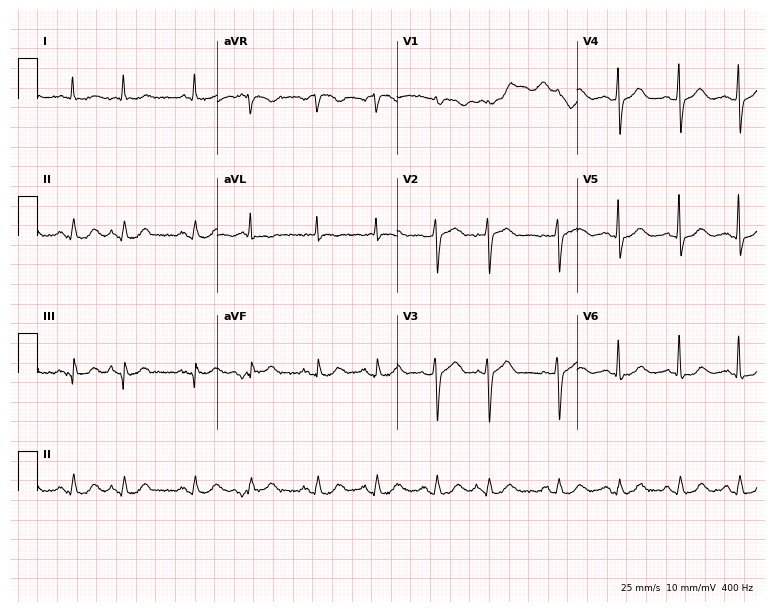
ECG (7.3-second recording at 400 Hz) — a man, 83 years old. Screened for six findings — first-degree AV block, right bundle branch block, left bundle branch block, sinus bradycardia, atrial fibrillation, sinus tachycardia — none is recorded. Findings outside these six are not listed.